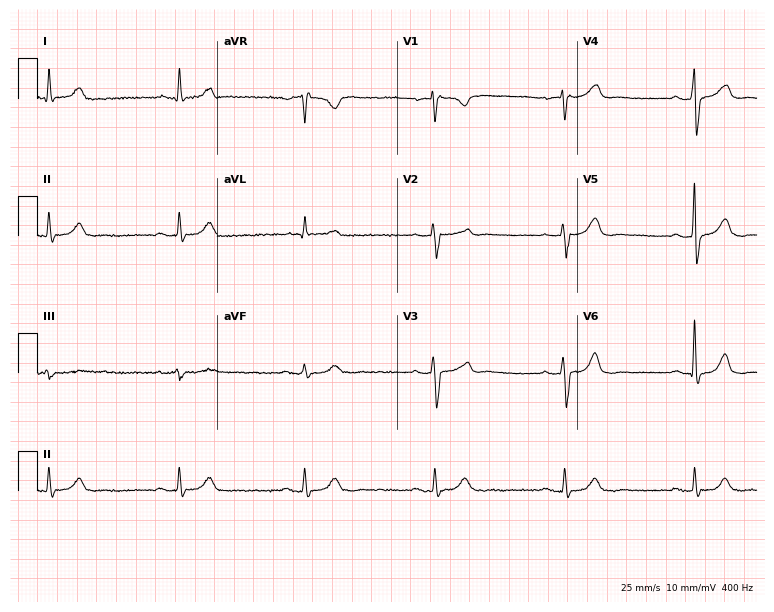
Electrocardiogram (7.3-second recording at 400 Hz), a 71-year-old male. Interpretation includes sinus bradycardia (a sinus rate of 50 beats per minute or less).